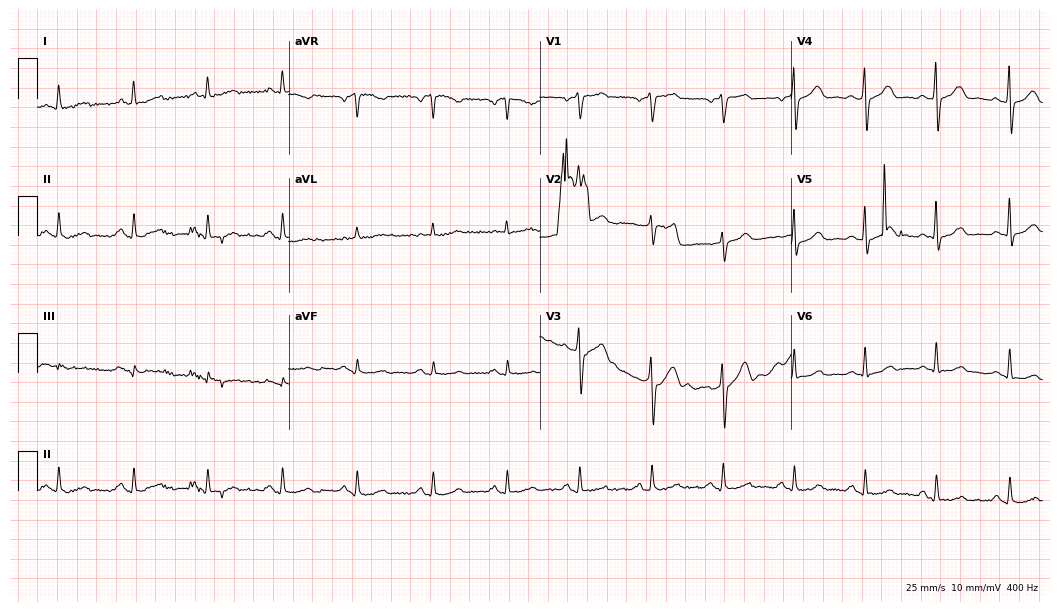
ECG (10.2-second recording at 400 Hz) — a male patient, 50 years old. Screened for six findings — first-degree AV block, right bundle branch block, left bundle branch block, sinus bradycardia, atrial fibrillation, sinus tachycardia — none is recorded.